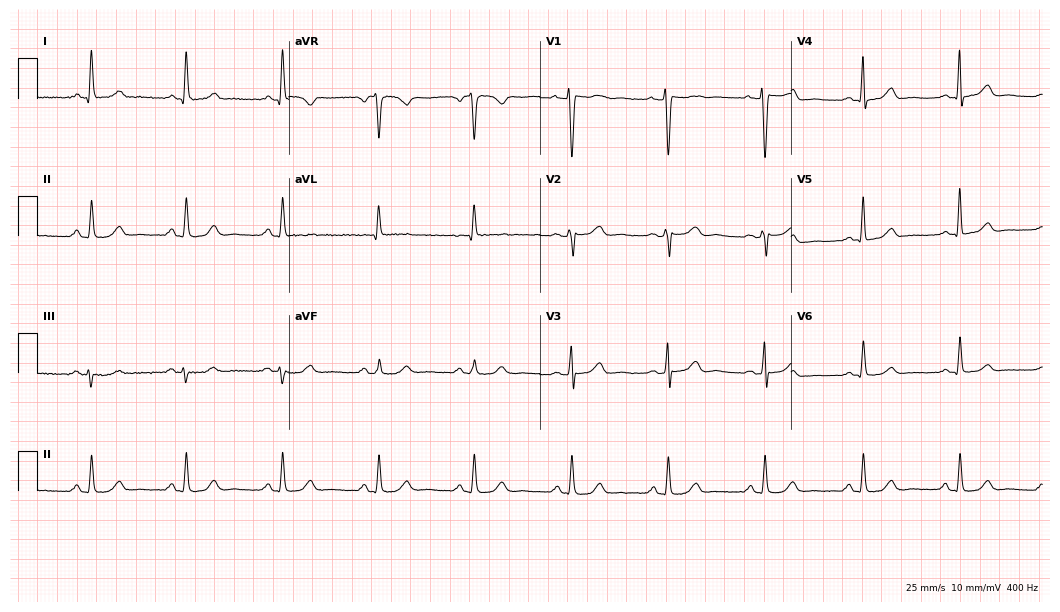
12-lead ECG (10.2-second recording at 400 Hz) from a 53-year-old woman. Screened for six findings — first-degree AV block, right bundle branch block (RBBB), left bundle branch block (LBBB), sinus bradycardia, atrial fibrillation (AF), sinus tachycardia — none is recorded.